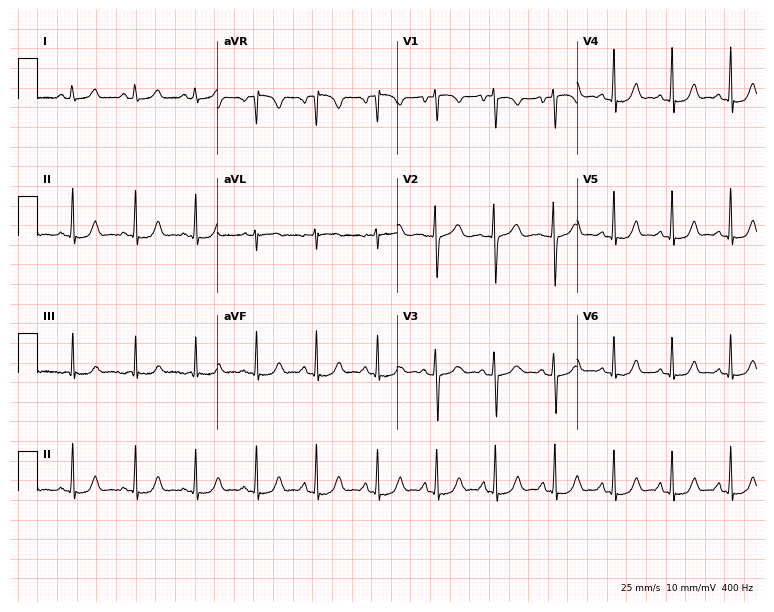
Electrocardiogram (7.3-second recording at 400 Hz), a woman, 18 years old. Overall reading on record: normal ECG.